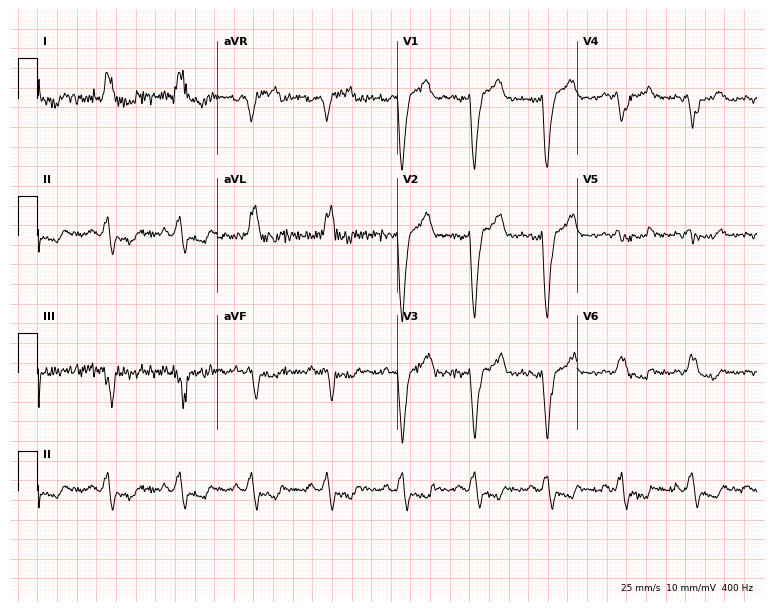
12-lead ECG from a 59-year-old female. Shows left bundle branch block.